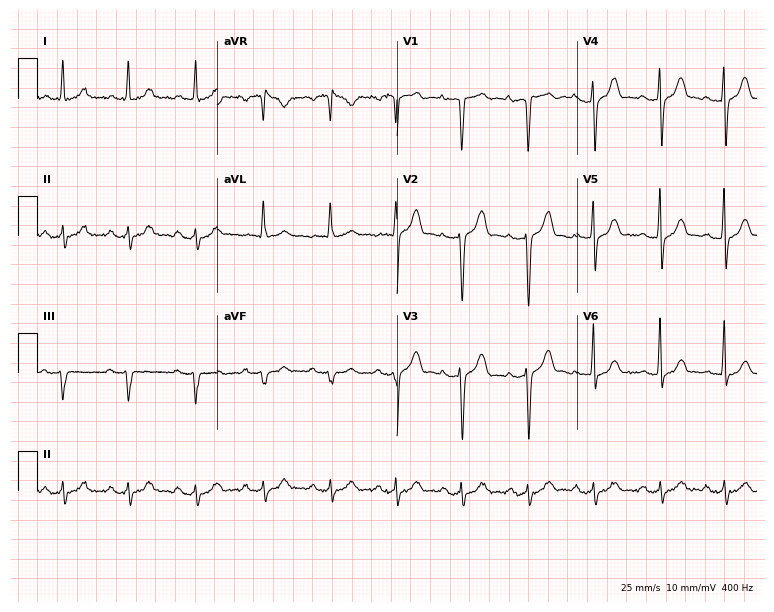
Resting 12-lead electrocardiogram. Patient: a 74-year-old female. None of these six findings is recorded: first-degree AV block, right bundle branch block, left bundle branch block, sinus bradycardia, atrial fibrillation, sinus tachycardia. Findings outside these six are not listed.